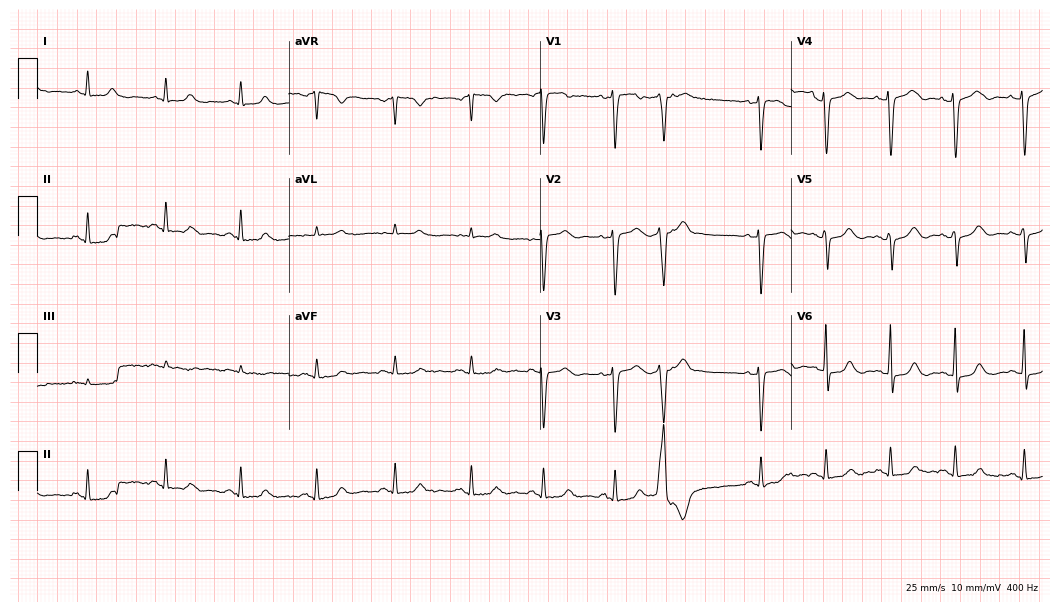
ECG — a 53-year-old female. Screened for six findings — first-degree AV block, right bundle branch block, left bundle branch block, sinus bradycardia, atrial fibrillation, sinus tachycardia — none is recorded. Findings outside these six are not listed.